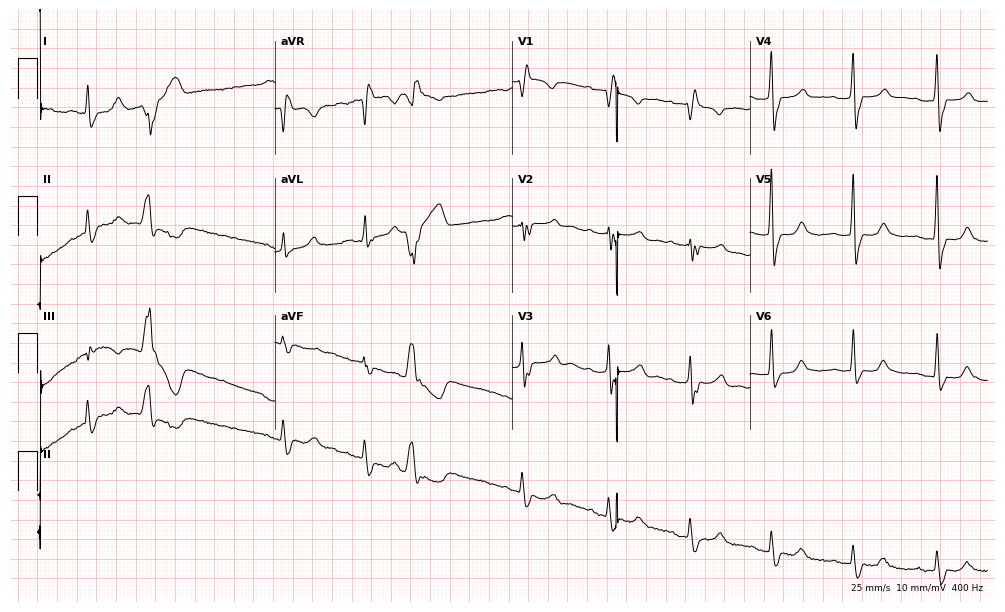
Electrocardiogram (9.7-second recording at 400 Hz), a 79-year-old female patient. Interpretation includes right bundle branch block (RBBB).